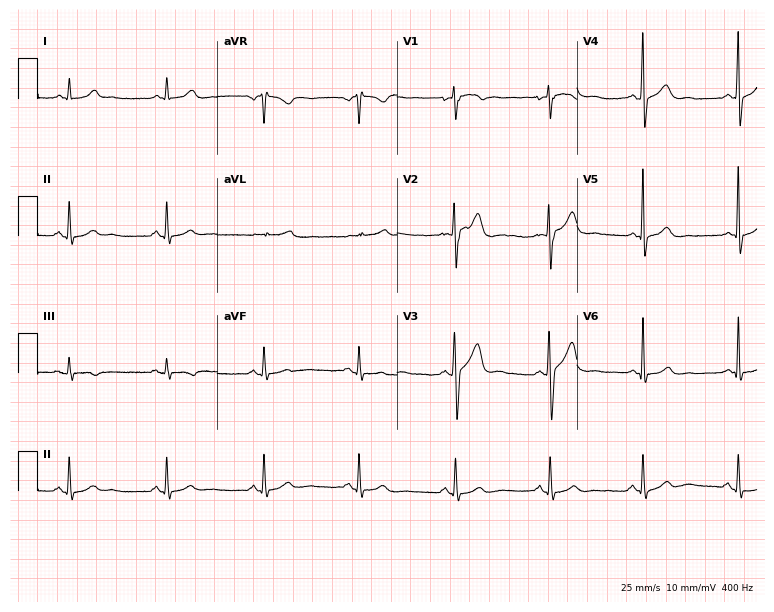
Resting 12-lead electrocardiogram (7.3-second recording at 400 Hz). Patient: a 29-year-old male. Read as a normal ECG.